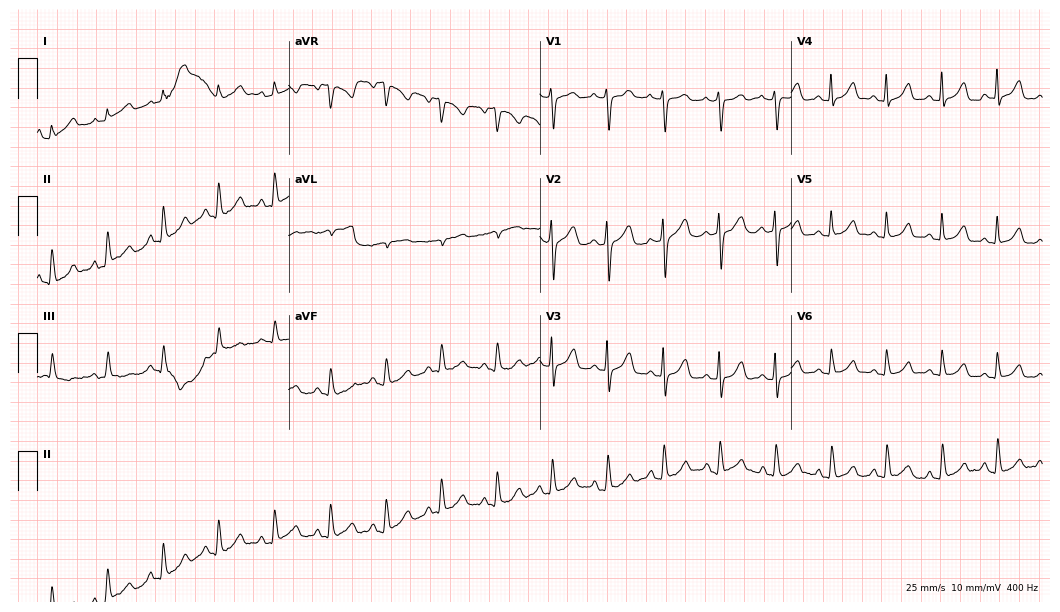
Resting 12-lead electrocardiogram. Patient: a 38-year-old female. The tracing shows sinus tachycardia (a sinus rate of 100 beats per minute or more).